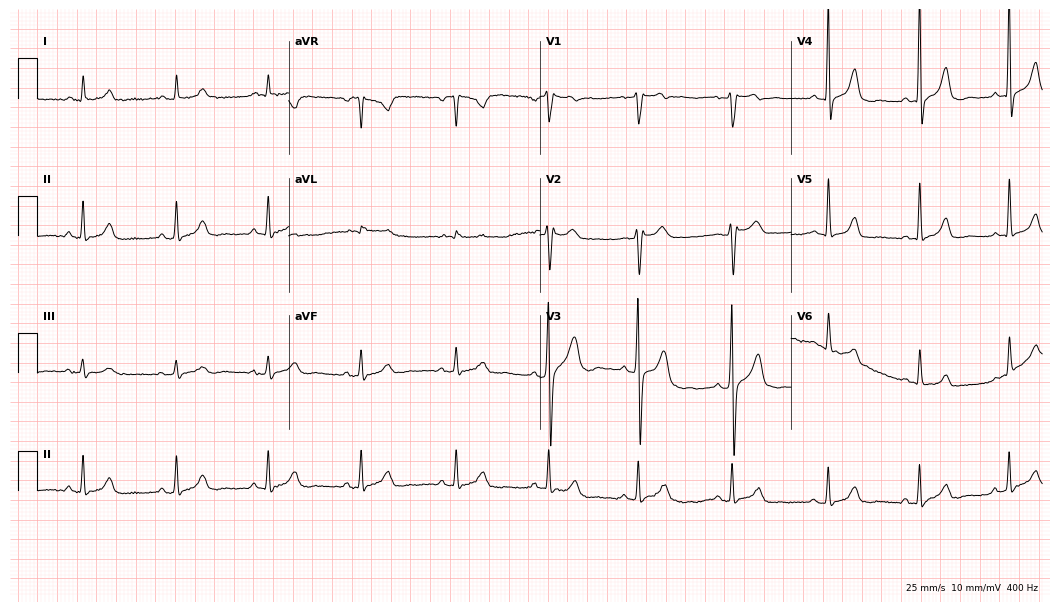
12-lead ECG from a male, 49 years old. Recorded interpretation: within normal limits.